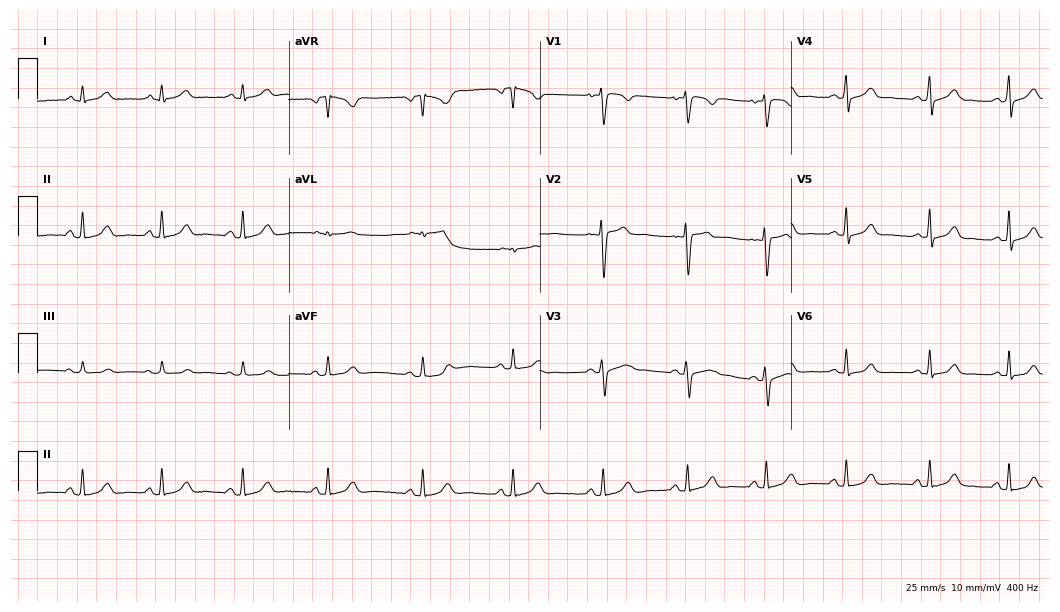
12-lead ECG from a 28-year-old female patient. Labelled as a normal ECG.